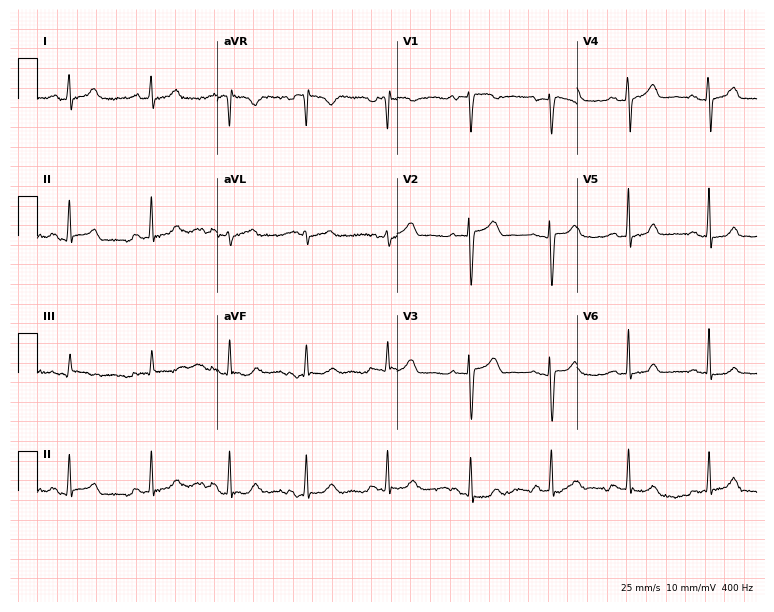
Electrocardiogram (7.3-second recording at 400 Hz), a 46-year-old female. Overall reading on record: normal ECG.